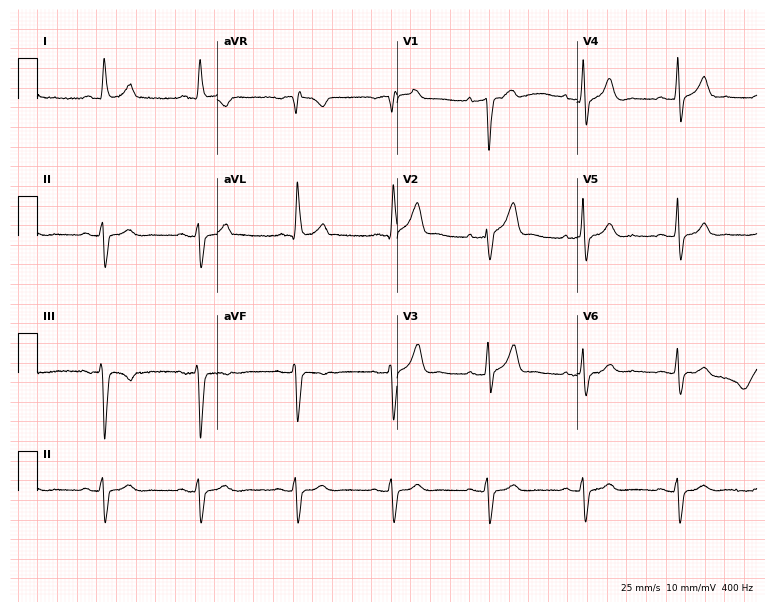
Electrocardiogram (7.3-second recording at 400 Hz), a 78-year-old male patient. Of the six screened findings (first-degree AV block, right bundle branch block, left bundle branch block, sinus bradycardia, atrial fibrillation, sinus tachycardia), none is recorded. Other findings, if any, are not listed.